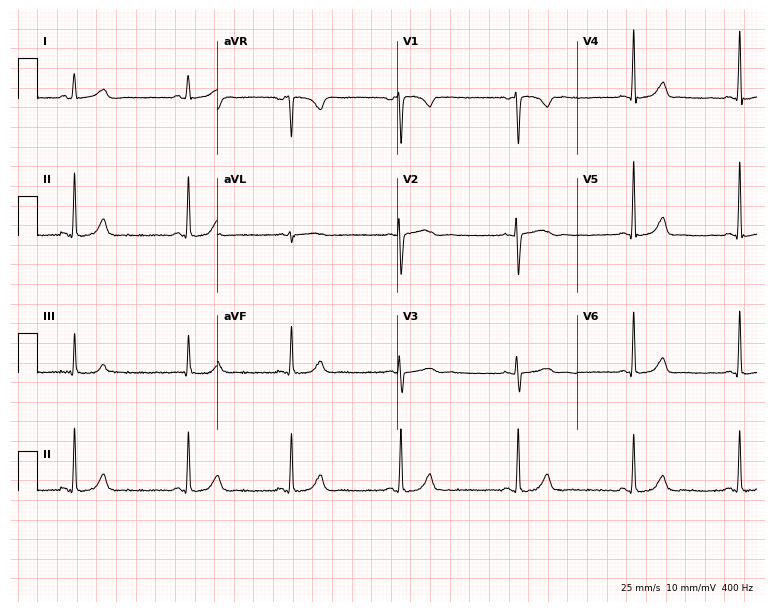
12-lead ECG (7.3-second recording at 400 Hz) from a 33-year-old female. Labelled as a normal ECG.